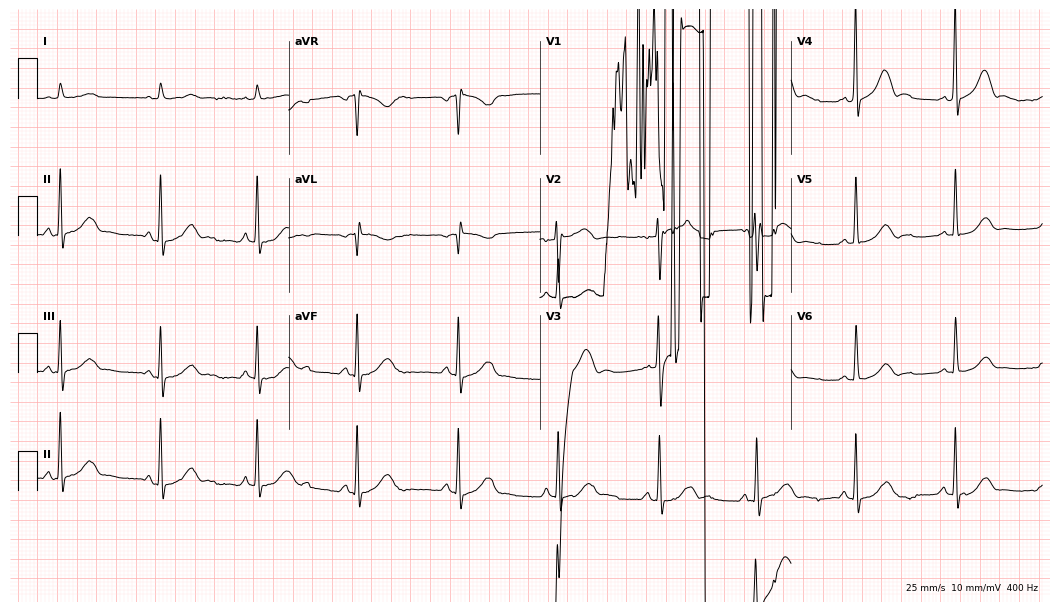
12-lead ECG from an 84-year-old woman. No first-degree AV block, right bundle branch block, left bundle branch block, sinus bradycardia, atrial fibrillation or sinus tachycardia recorded for this tracing. Findings outside these six are not listed.